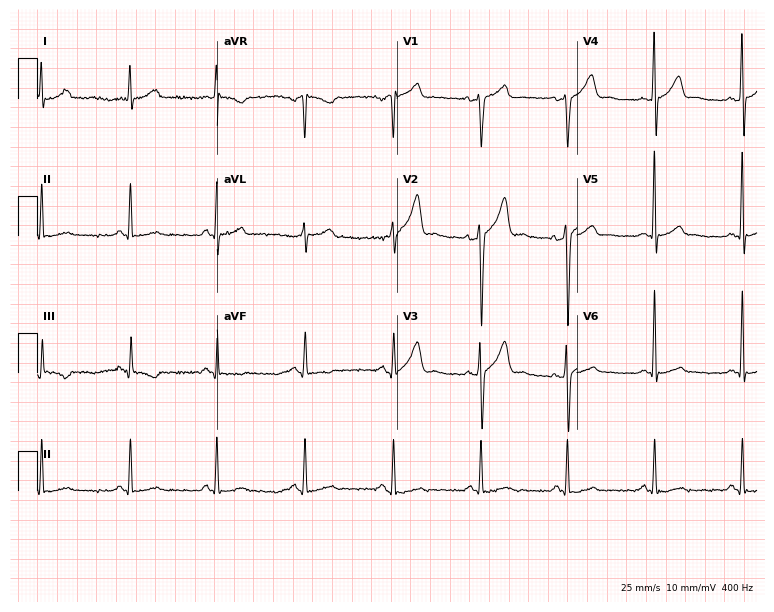
Standard 12-lead ECG recorded from a man, 45 years old (7.3-second recording at 400 Hz). Read as a normal ECG.